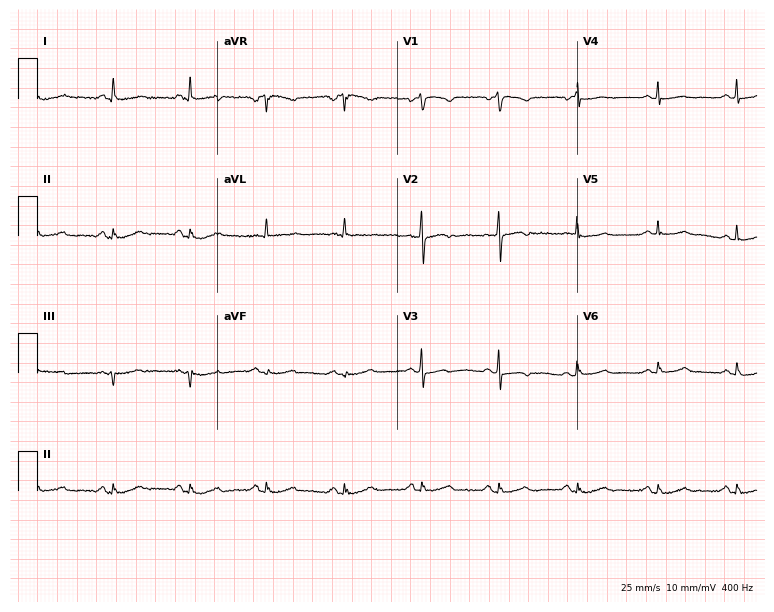
Resting 12-lead electrocardiogram. Patient: a 57-year-old female. None of these six findings is recorded: first-degree AV block, right bundle branch block, left bundle branch block, sinus bradycardia, atrial fibrillation, sinus tachycardia.